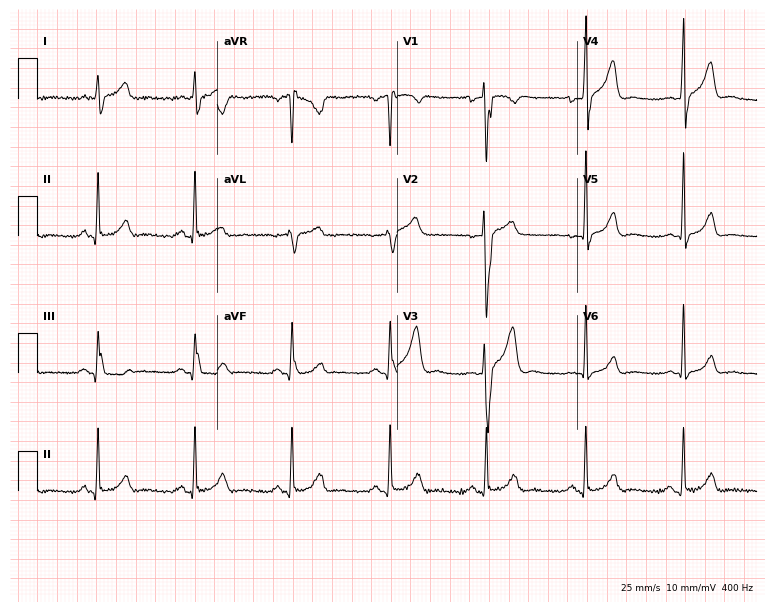
12-lead ECG (7.3-second recording at 400 Hz) from a man, 42 years old. Screened for six findings — first-degree AV block, right bundle branch block, left bundle branch block, sinus bradycardia, atrial fibrillation, sinus tachycardia — none is recorded.